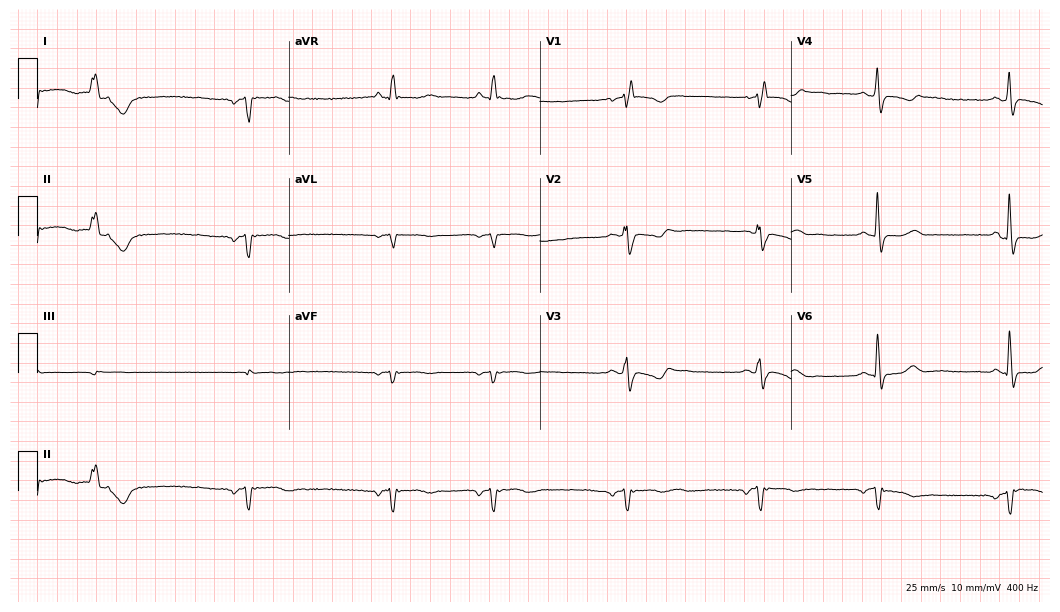
ECG — a female, 66 years old. Screened for six findings — first-degree AV block, right bundle branch block, left bundle branch block, sinus bradycardia, atrial fibrillation, sinus tachycardia — none is recorded.